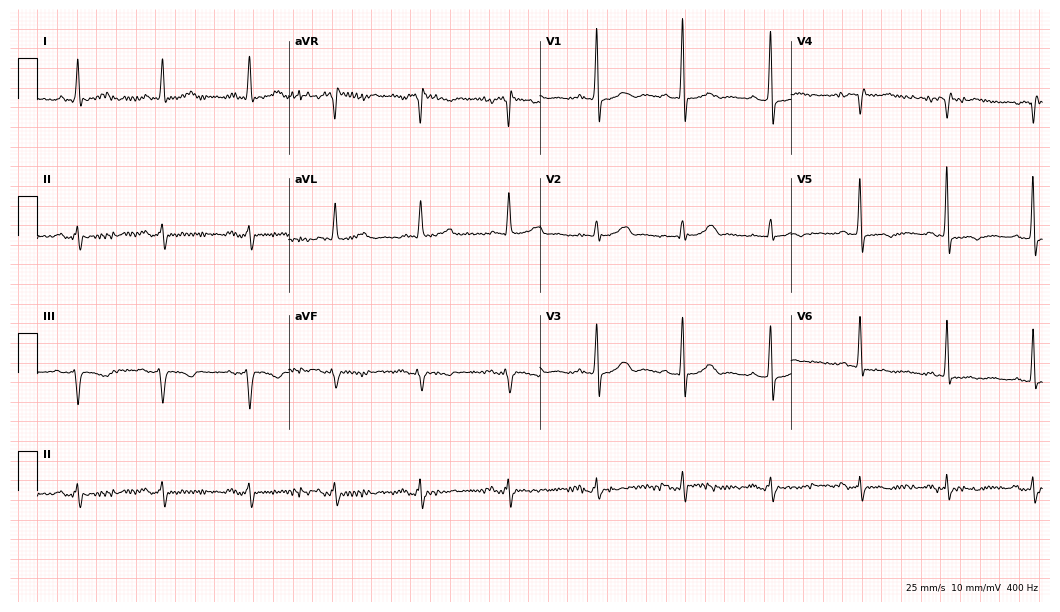
Resting 12-lead electrocardiogram. Patient: a woman, 70 years old. None of these six findings is recorded: first-degree AV block, right bundle branch block, left bundle branch block, sinus bradycardia, atrial fibrillation, sinus tachycardia.